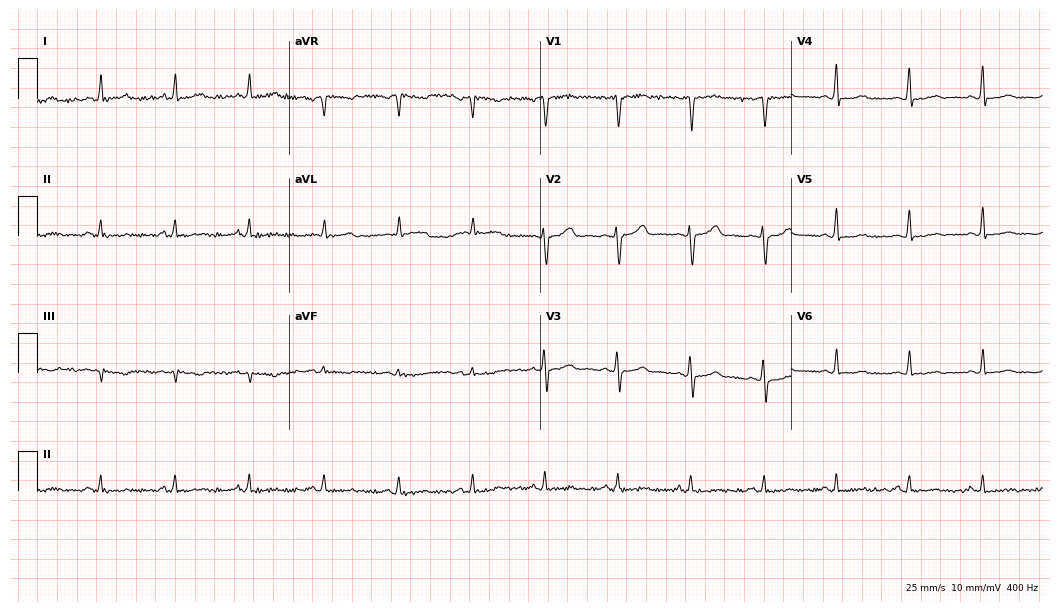
ECG — a 45-year-old woman. Screened for six findings — first-degree AV block, right bundle branch block (RBBB), left bundle branch block (LBBB), sinus bradycardia, atrial fibrillation (AF), sinus tachycardia — none is recorded. Other findings, if any, are not listed.